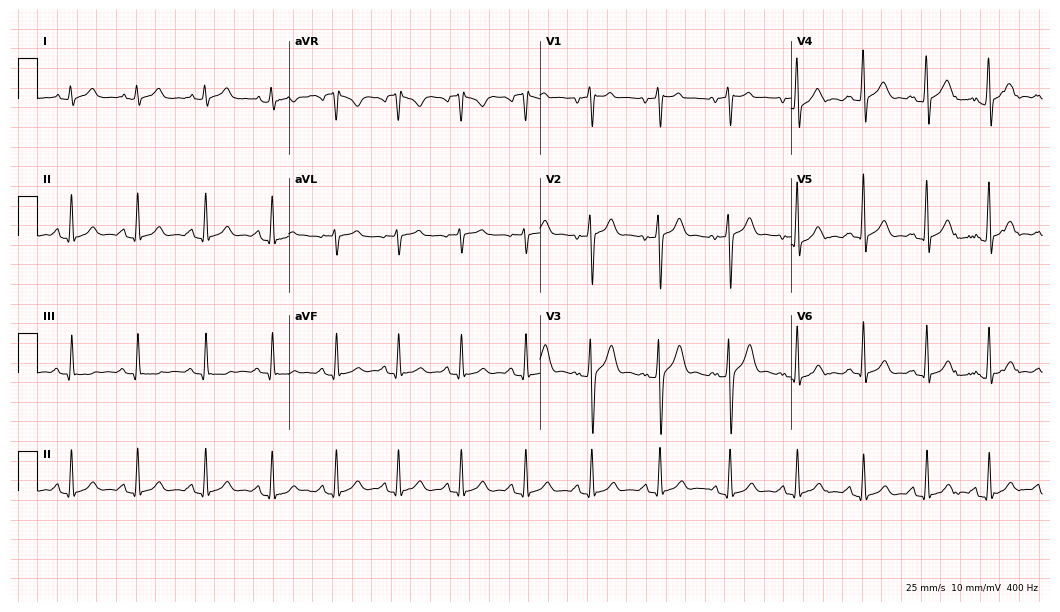
Standard 12-lead ECG recorded from a man, 33 years old (10.2-second recording at 400 Hz). Read as a normal ECG.